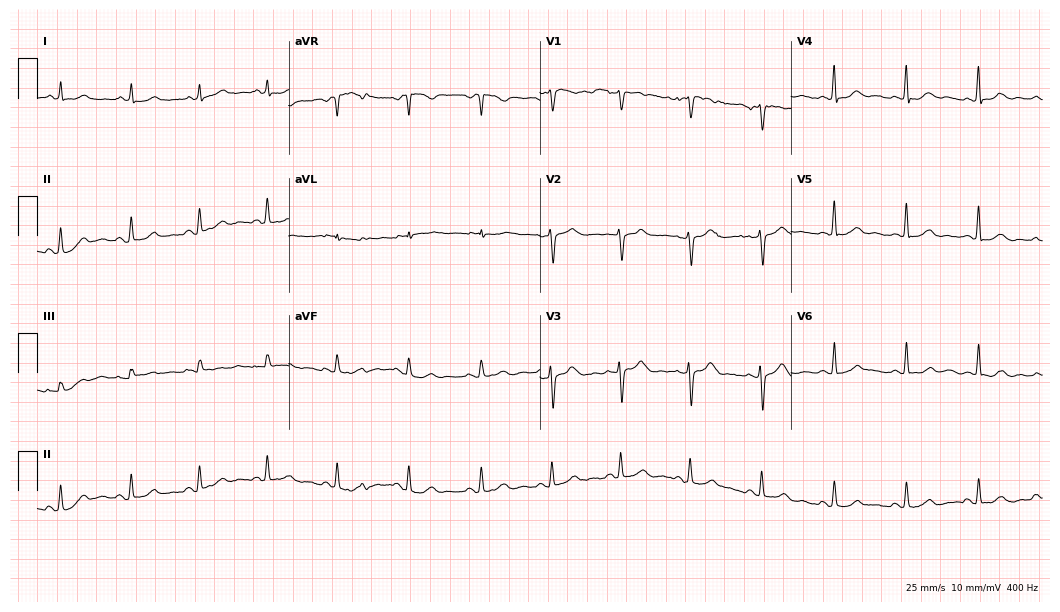
Standard 12-lead ECG recorded from a 52-year-old woman (10.2-second recording at 400 Hz). Read as a normal ECG.